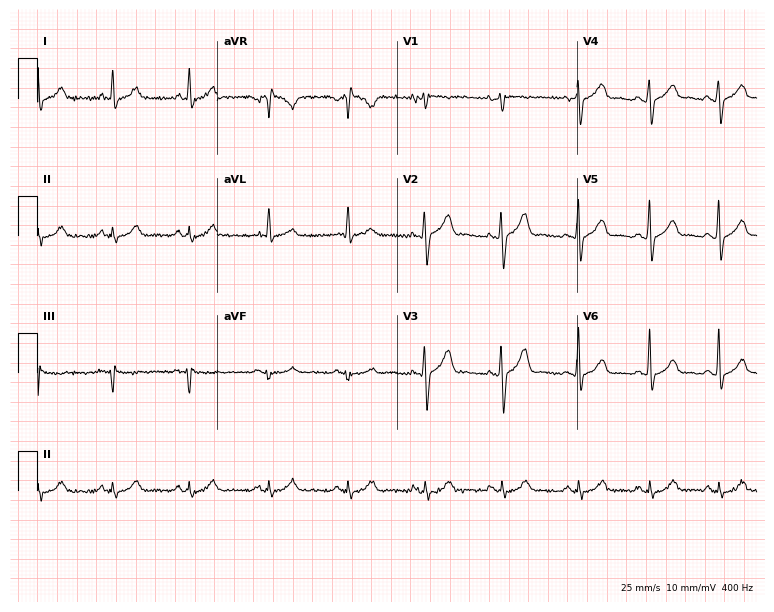
12-lead ECG from a male patient, 50 years old. Labelled as a normal ECG.